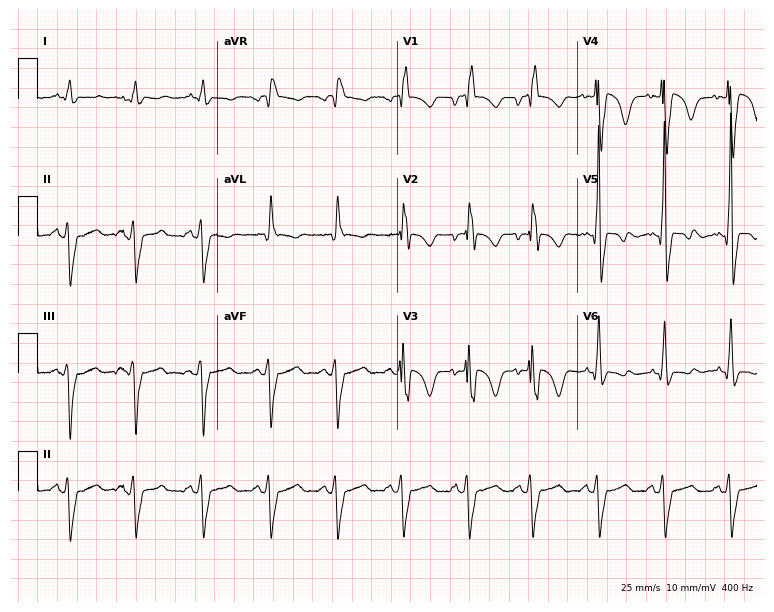
12-lead ECG (7.3-second recording at 400 Hz) from a 49-year-old man. Findings include right bundle branch block.